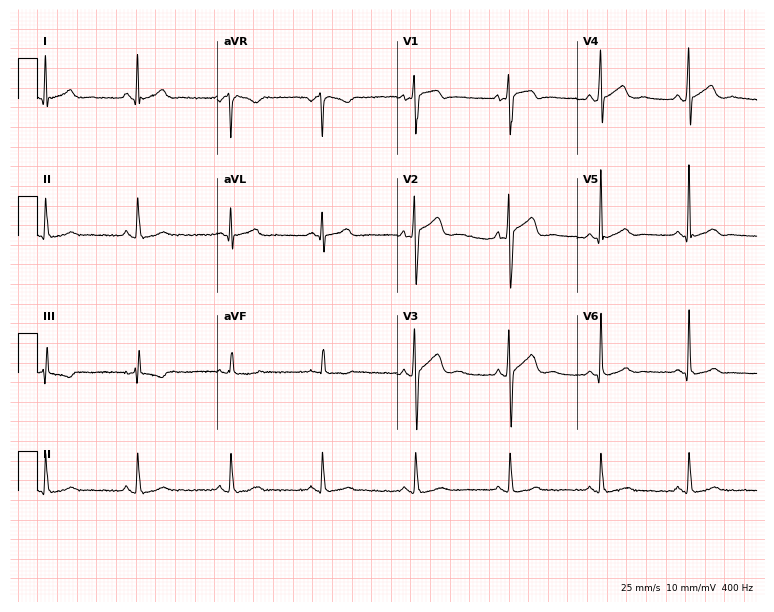
12-lead ECG from a 24-year-old male patient. Screened for six findings — first-degree AV block, right bundle branch block, left bundle branch block, sinus bradycardia, atrial fibrillation, sinus tachycardia — none is recorded. Other findings, if any, are not listed.